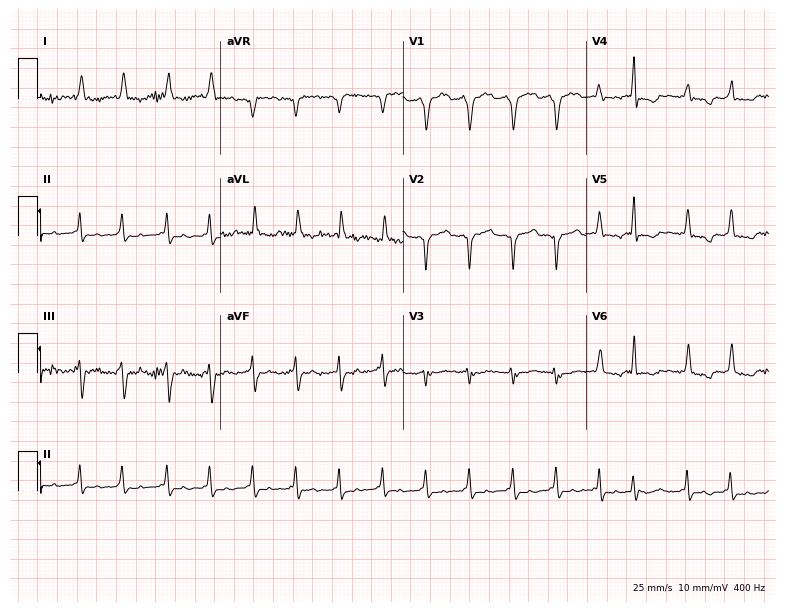
12-lead ECG from a 60-year-old woman. No first-degree AV block, right bundle branch block, left bundle branch block, sinus bradycardia, atrial fibrillation or sinus tachycardia recorded for this tracing.